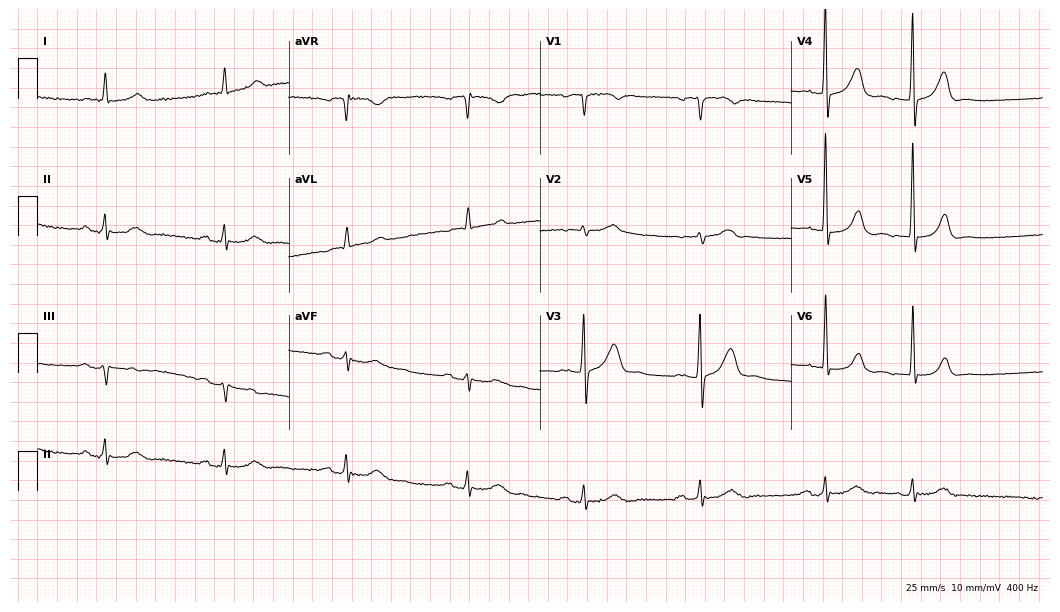
12-lead ECG from an 80-year-old male (10.2-second recording at 400 Hz). No first-degree AV block, right bundle branch block, left bundle branch block, sinus bradycardia, atrial fibrillation or sinus tachycardia recorded for this tracing. Other findings, if any, are not listed.